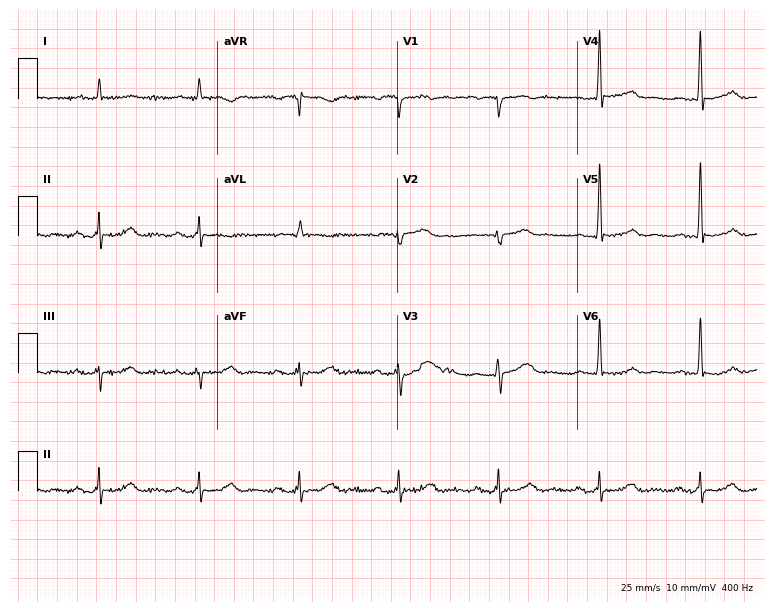
Electrocardiogram, a 69-year-old male. Interpretation includes first-degree AV block.